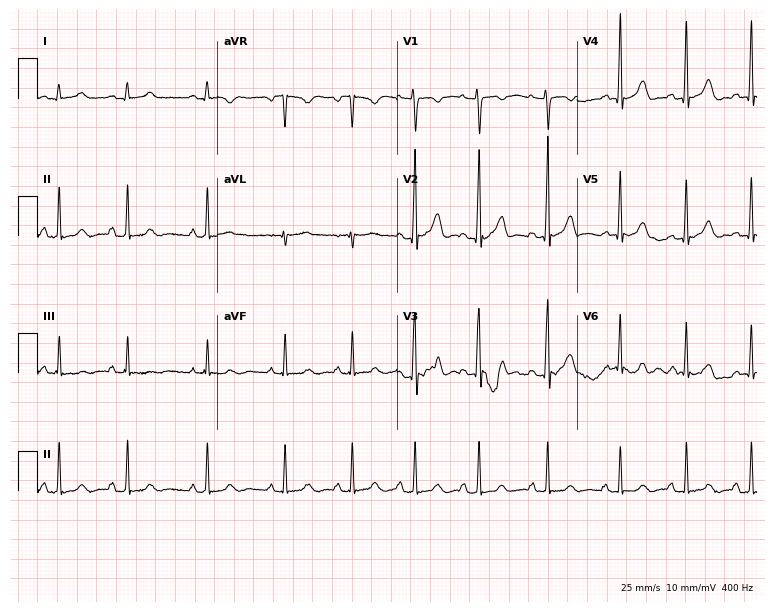
ECG — a male, 21 years old. Labelled as a normal ECG.